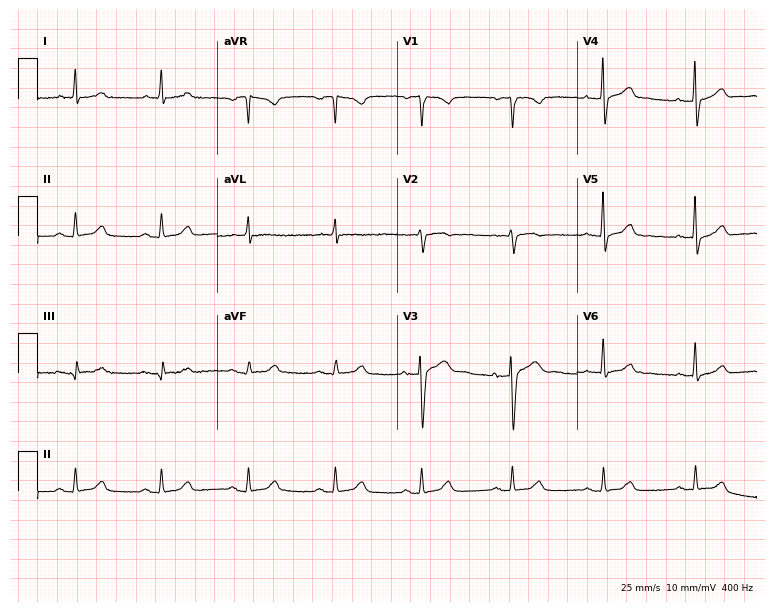
Resting 12-lead electrocardiogram. Patient: a 56-year-old female. Read as a normal ECG.